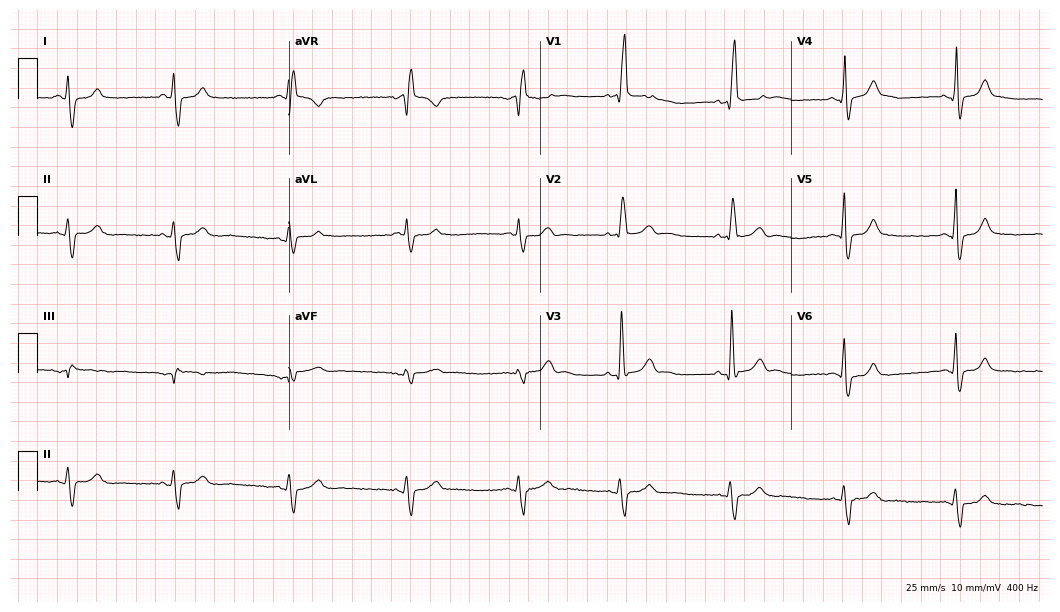
12-lead ECG (10.2-second recording at 400 Hz) from a 62-year-old male patient. Findings include right bundle branch block (RBBB).